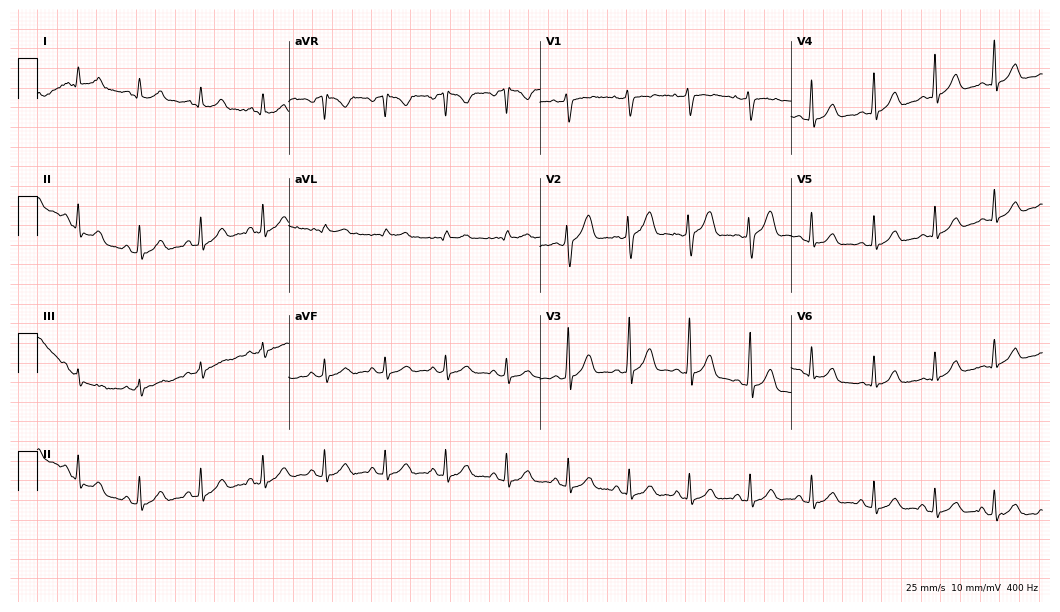
12-lead ECG from a 24-year-old woman (10.2-second recording at 400 Hz). No first-degree AV block, right bundle branch block, left bundle branch block, sinus bradycardia, atrial fibrillation or sinus tachycardia recorded for this tracing.